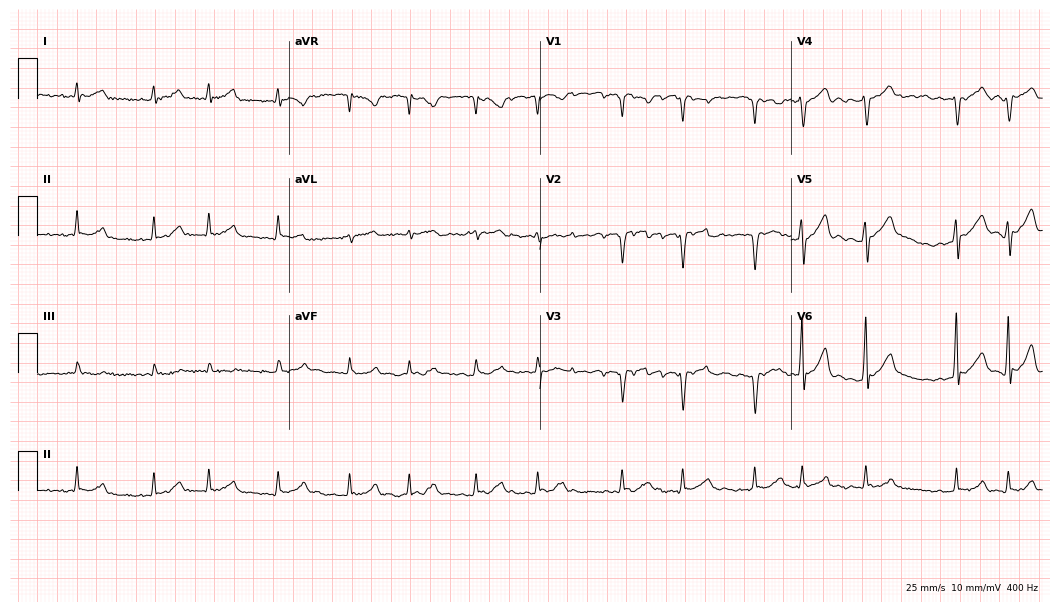
12-lead ECG (10.2-second recording at 400 Hz) from a 60-year-old male patient. Findings include atrial fibrillation.